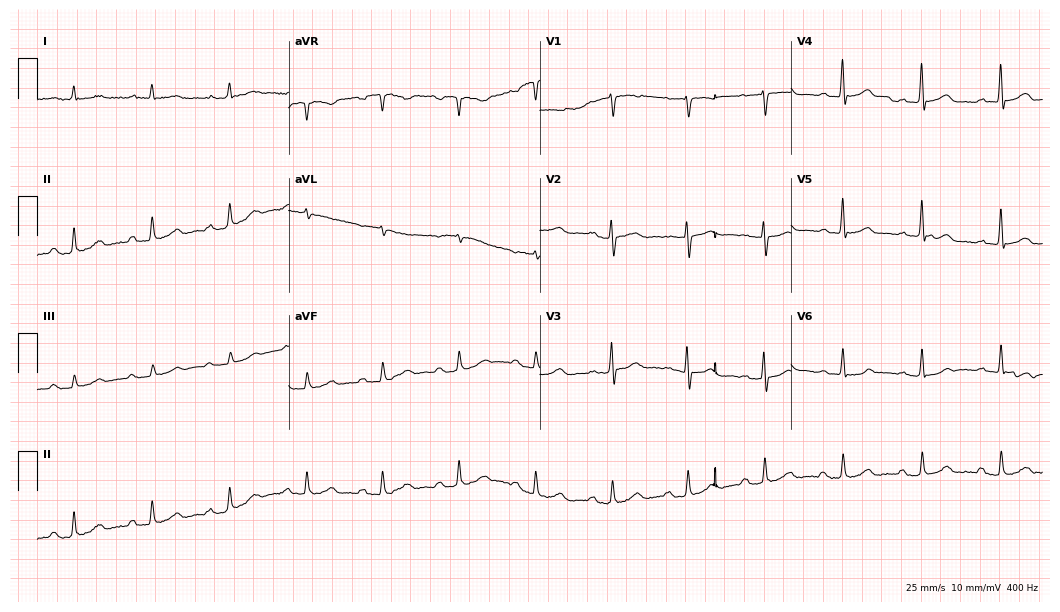
Electrocardiogram (10.2-second recording at 400 Hz), a 66-year-old male patient. Interpretation includes first-degree AV block.